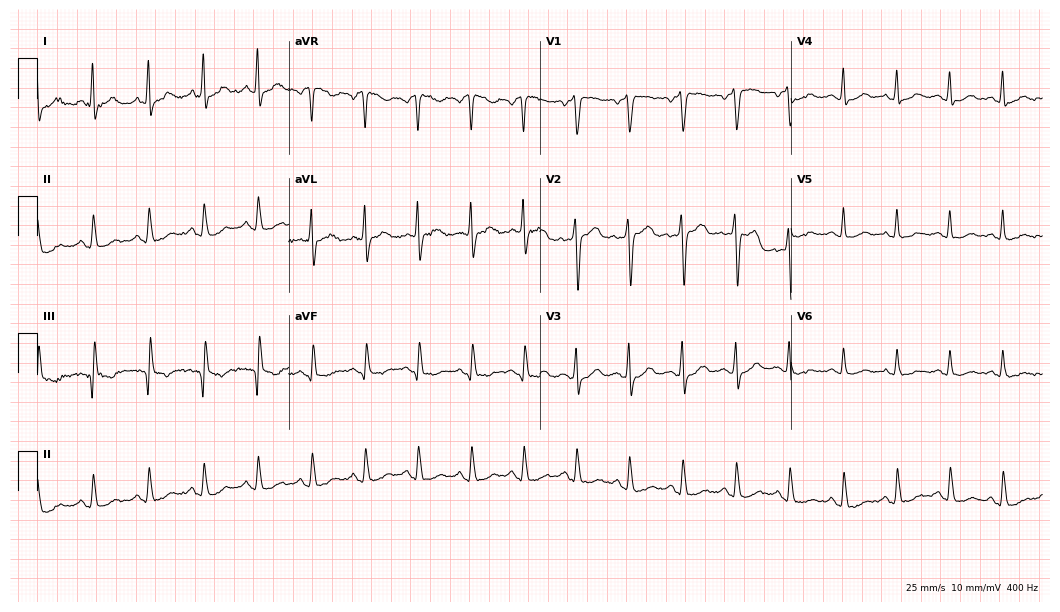
12-lead ECG from a female, 33 years old (10.2-second recording at 400 Hz). Shows sinus tachycardia (a sinus rate of 100 beats per minute or more).